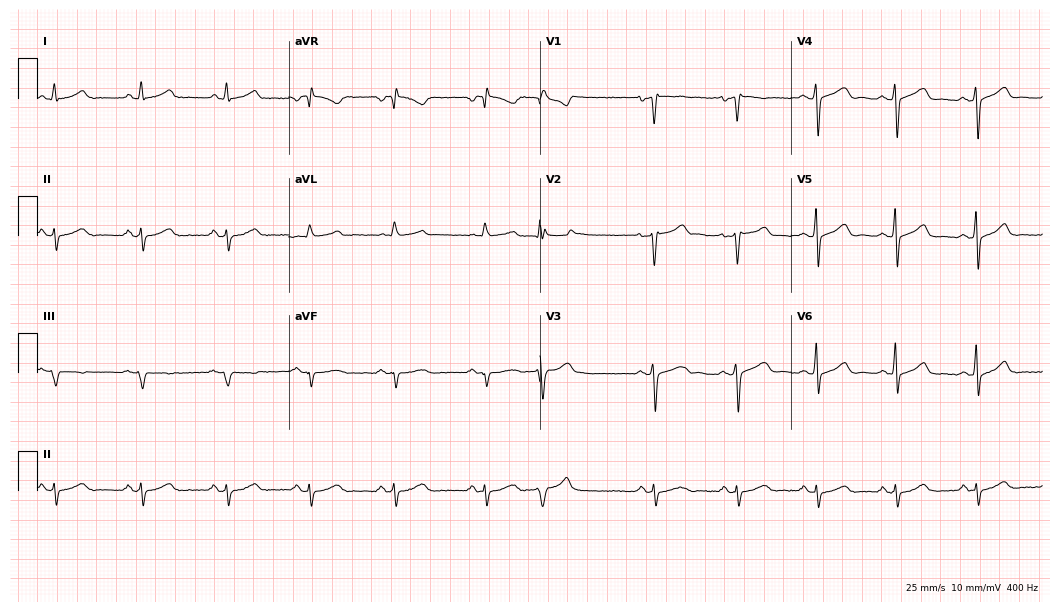
ECG (10.2-second recording at 400 Hz) — a male patient, 60 years old. Screened for six findings — first-degree AV block, right bundle branch block, left bundle branch block, sinus bradycardia, atrial fibrillation, sinus tachycardia — none is recorded. Other findings, if any, are not listed.